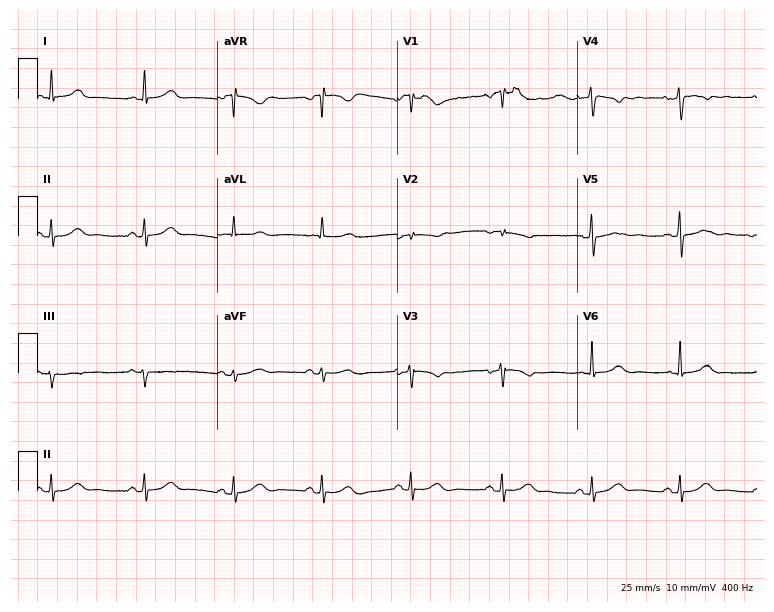
Resting 12-lead electrocardiogram (7.3-second recording at 400 Hz). Patient: a 58-year-old woman. Read as a normal ECG.